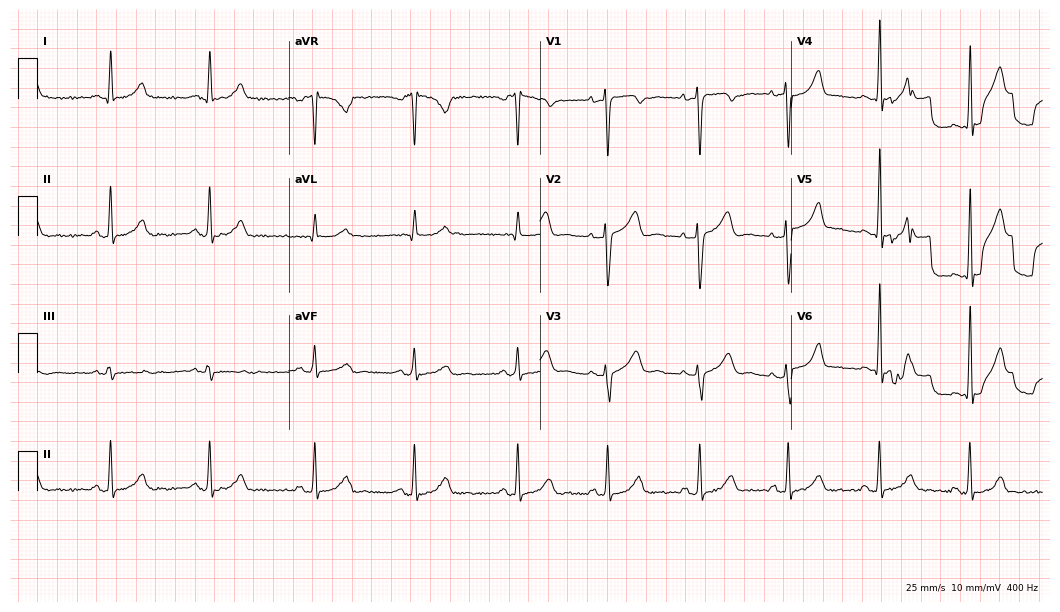
ECG — a female, 27 years old. Labelled as a normal ECG.